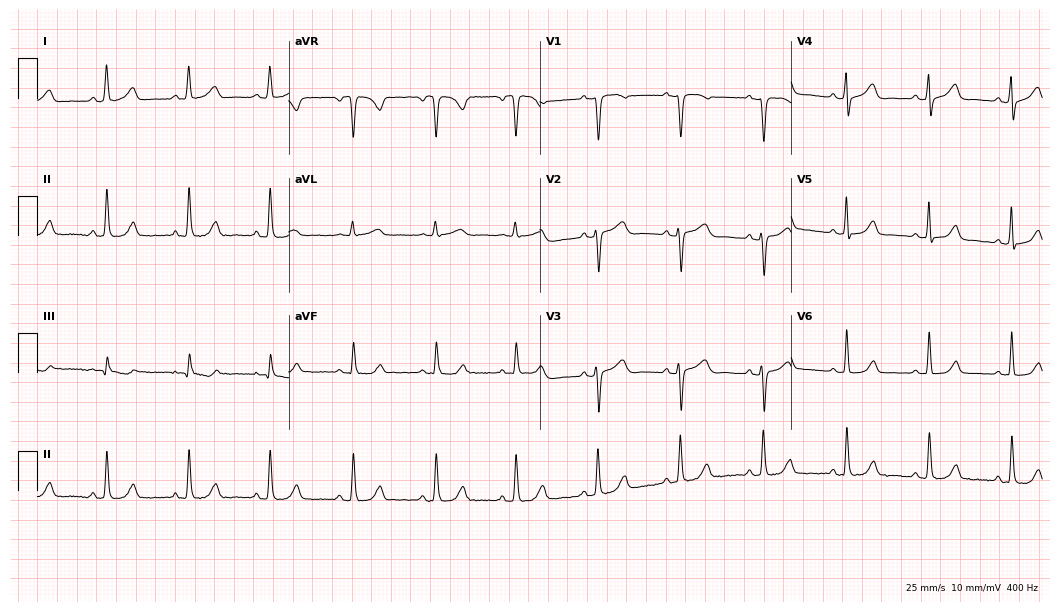
12-lead ECG from a female, 51 years old. Labelled as a normal ECG.